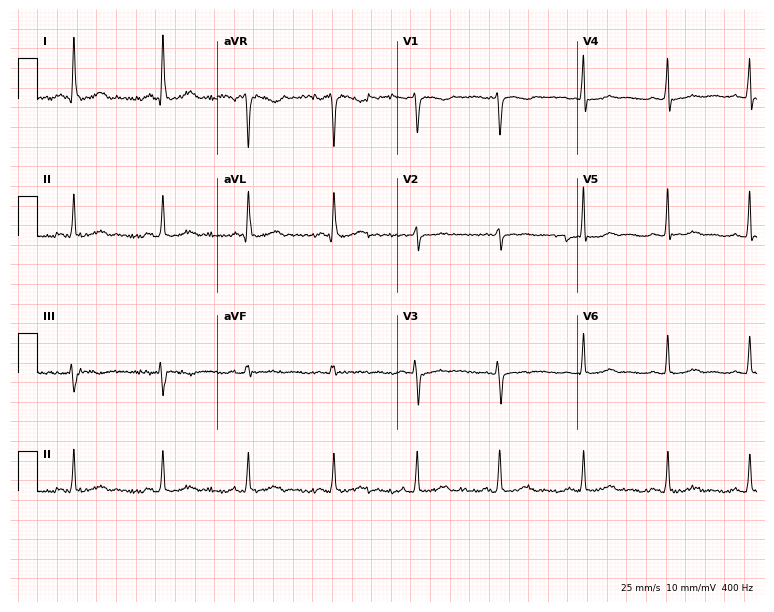
Resting 12-lead electrocardiogram (7.3-second recording at 400 Hz). Patient: a female, 52 years old. None of these six findings is recorded: first-degree AV block, right bundle branch block, left bundle branch block, sinus bradycardia, atrial fibrillation, sinus tachycardia.